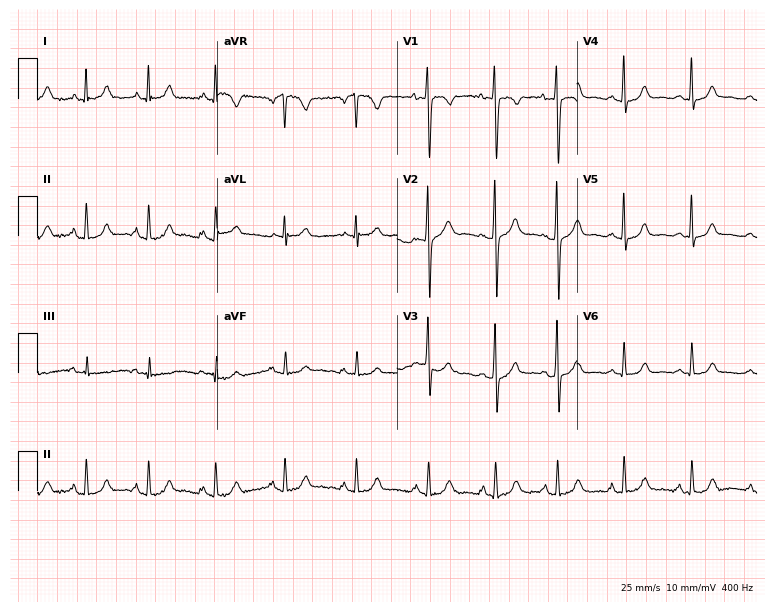
Resting 12-lead electrocardiogram (7.3-second recording at 400 Hz). Patient: a female, 26 years old. None of these six findings is recorded: first-degree AV block, right bundle branch block, left bundle branch block, sinus bradycardia, atrial fibrillation, sinus tachycardia. Other findings, if any, are not listed.